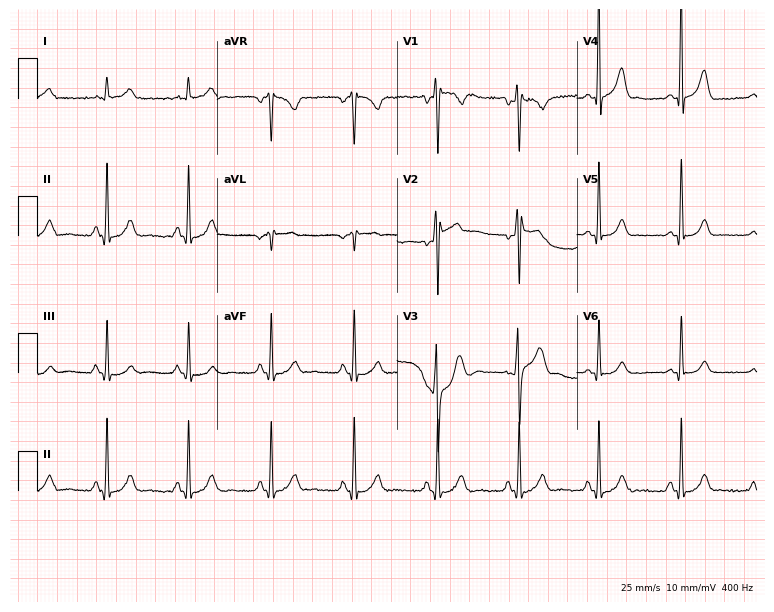
12-lead ECG (7.3-second recording at 400 Hz) from a man, 30 years old. Labelled as a normal ECG.